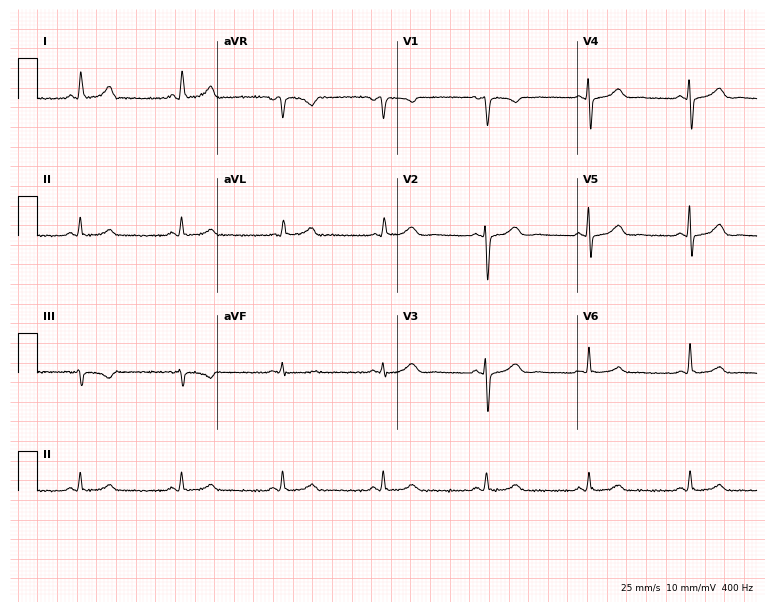
Standard 12-lead ECG recorded from a female, 67 years old (7.3-second recording at 400 Hz). None of these six findings is recorded: first-degree AV block, right bundle branch block, left bundle branch block, sinus bradycardia, atrial fibrillation, sinus tachycardia. Other findings, if any, are not listed.